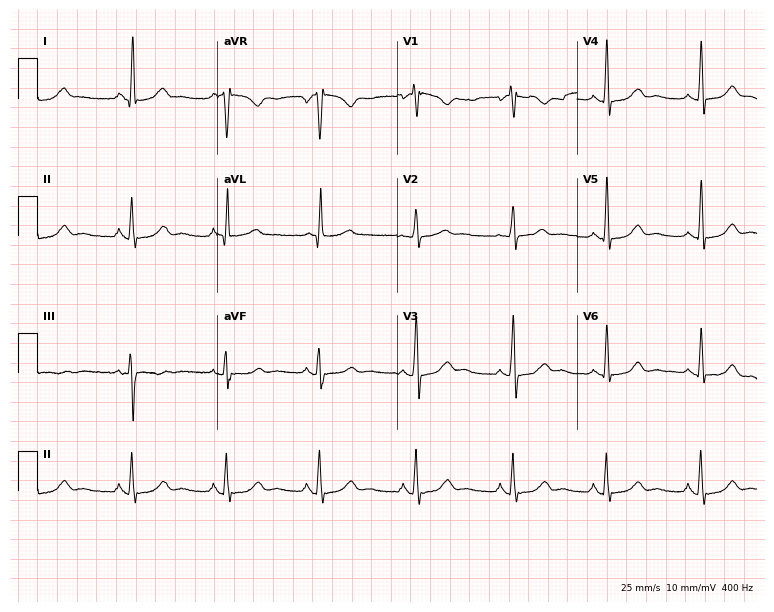
12-lead ECG from a 53-year-old woman (7.3-second recording at 400 Hz). Recorded interpretation: within normal limits.